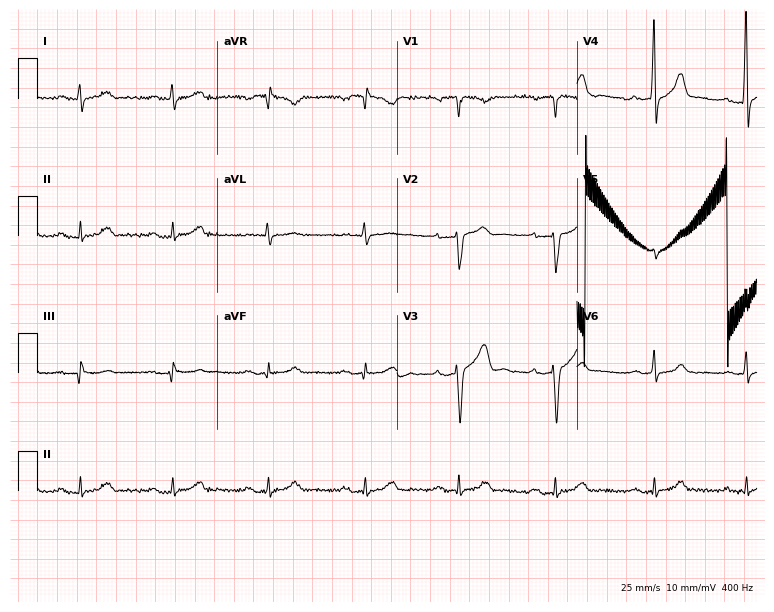
Standard 12-lead ECG recorded from a 34-year-old male. None of these six findings is recorded: first-degree AV block, right bundle branch block, left bundle branch block, sinus bradycardia, atrial fibrillation, sinus tachycardia. Other findings, if any, are not listed.